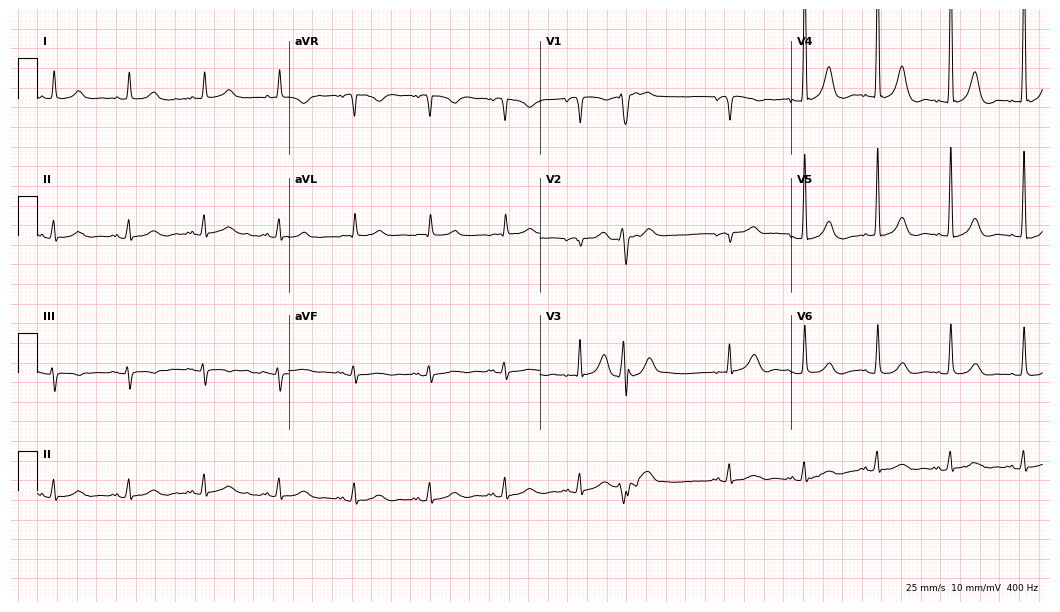
12-lead ECG from an 83-year-old male patient. Screened for six findings — first-degree AV block, right bundle branch block (RBBB), left bundle branch block (LBBB), sinus bradycardia, atrial fibrillation (AF), sinus tachycardia — none is recorded.